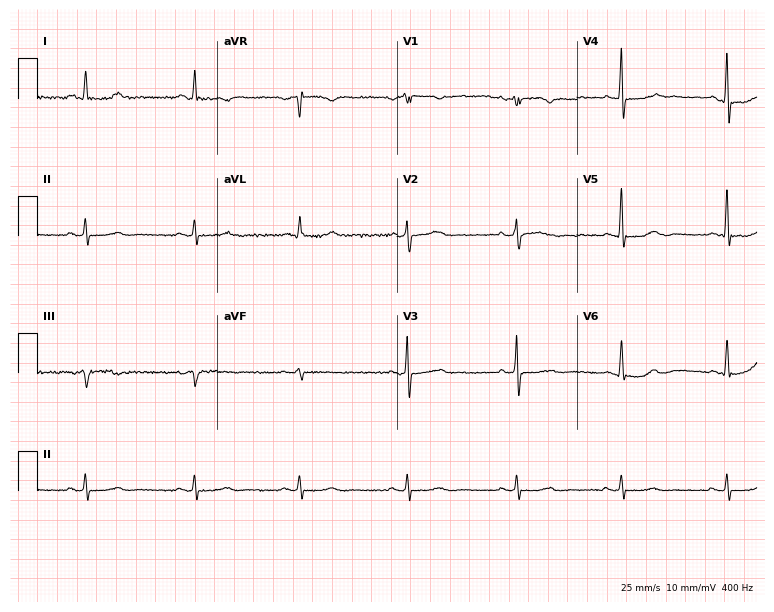
ECG (7.3-second recording at 400 Hz) — an 82-year-old woman. Screened for six findings — first-degree AV block, right bundle branch block, left bundle branch block, sinus bradycardia, atrial fibrillation, sinus tachycardia — none is recorded. Other findings, if any, are not listed.